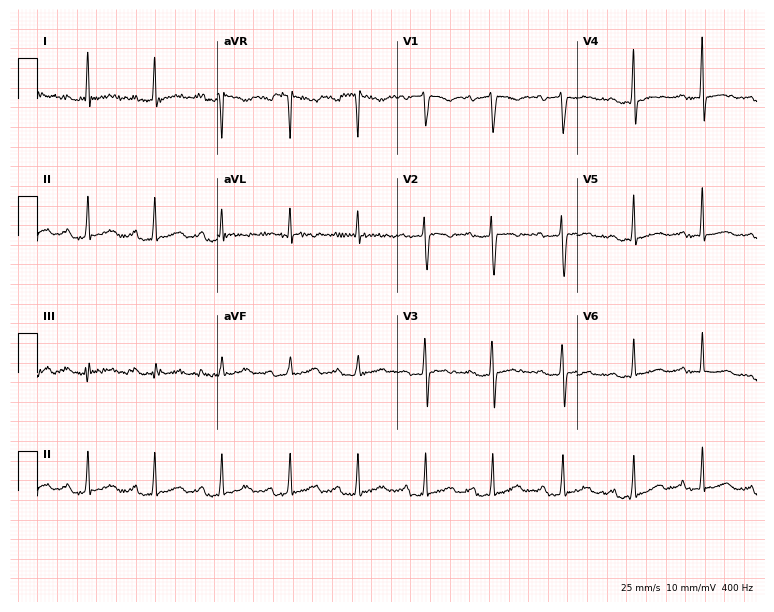
ECG — a 37-year-old woman. Findings include first-degree AV block.